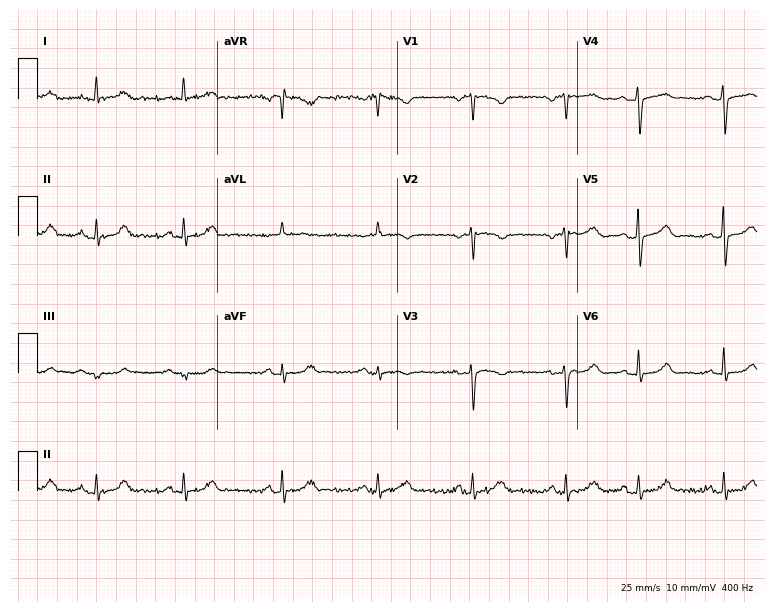
ECG (7.3-second recording at 400 Hz) — a woman, 54 years old. Labelled as a normal ECG.